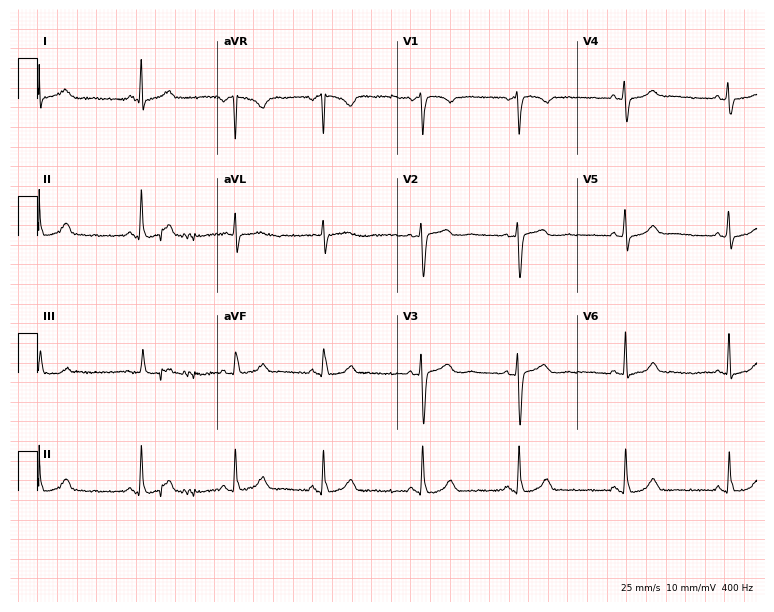
Resting 12-lead electrocardiogram (7.3-second recording at 400 Hz). Patient: a female, 41 years old. None of these six findings is recorded: first-degree AV block, right bundle branch block, left bundle branch block, sinus bradycardia, atrial fibrillation, sinus tachycardia.